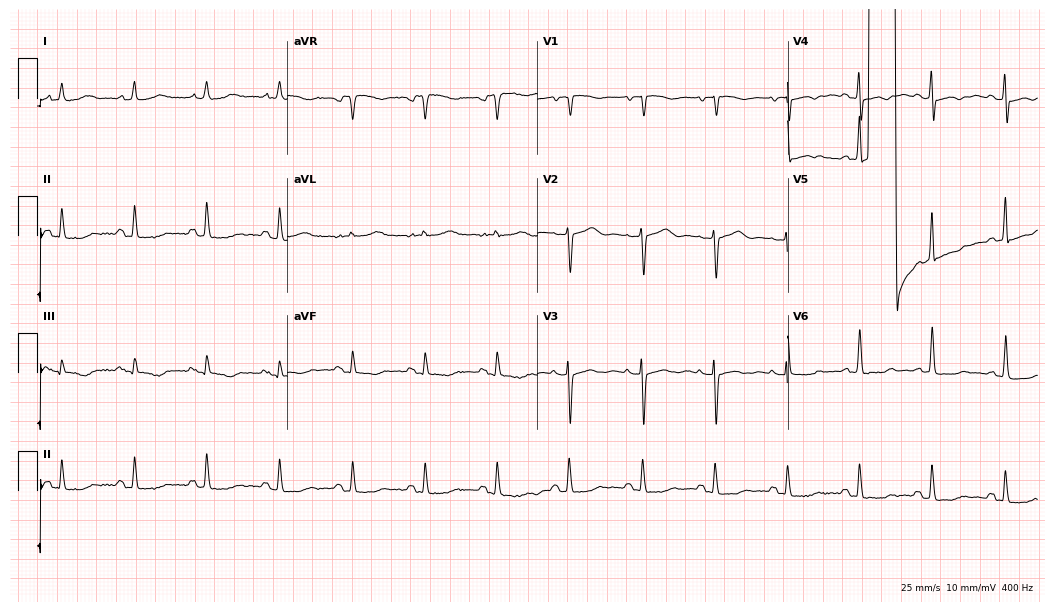
Resting 12-lead electrocardiogram (10.2-second recording at 400 Hz). Patient: a woman, 68 years old. None of these six findings is recorded: first-degree AV block, right bundle branch block, left bundle branch block, sinus bradycardia, atrial fibrillation, sinus tachycardia. Other findings, if any, are not listed.